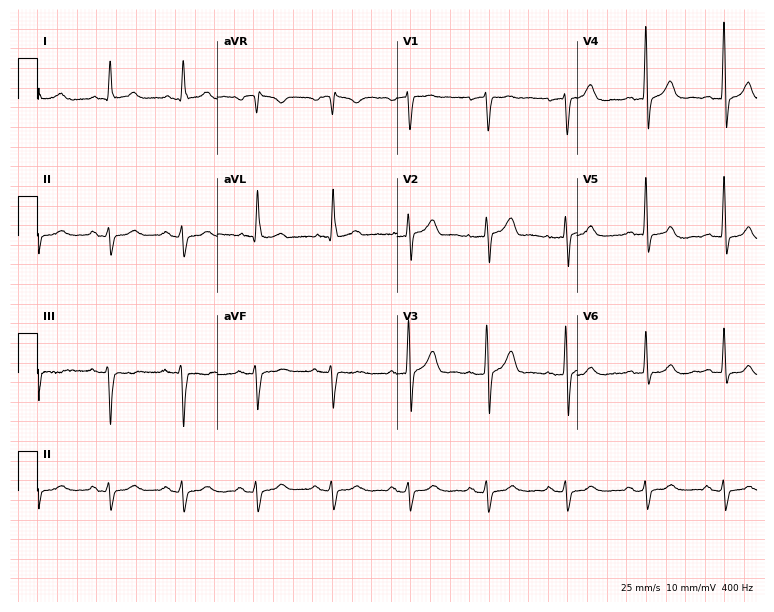
Resting 12-lead electrocardiogram. Patient: a 73-year-old male. None of these six findings is recorded: first-degree AV block, right bundle branch block, left bundle branch block, sinus bradycardia, atrial fibrillation, sinus tachycardia. Only these six findings were labelled.